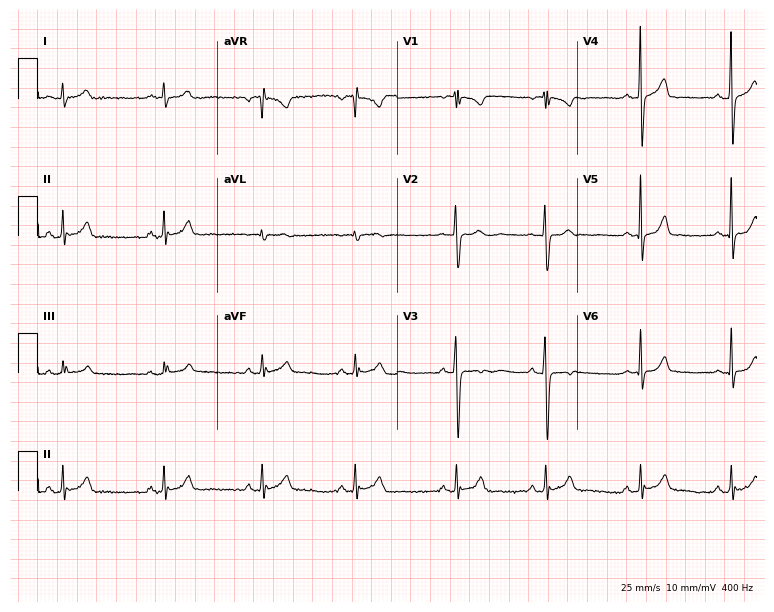
Resting 12-lead electrocardiogram (7.3-second recording at 400 Hz). Patient: a female, 19 years old. Read as a normal ECG.